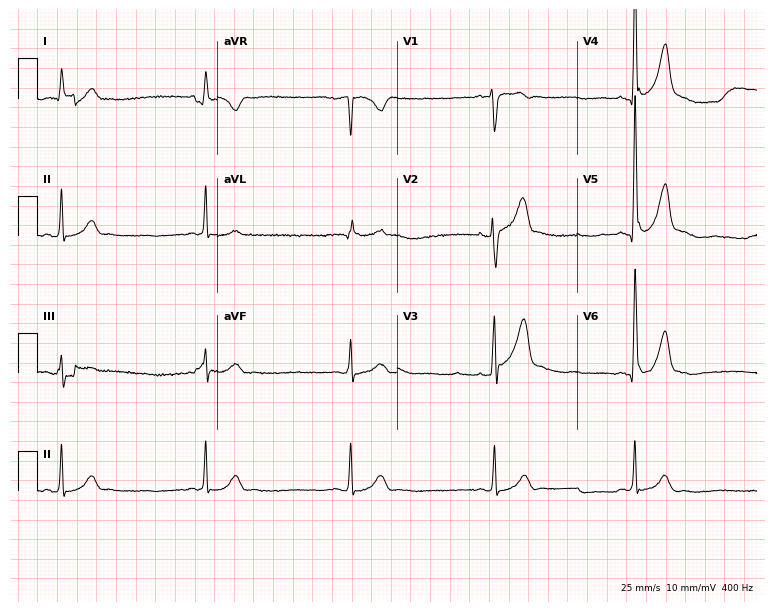
Resting 12-lead electrocardiogram. Patient: a male, 58 years old. The tracing shows sinus bradycardia (a sinus rate of 50 beats per minute or less).